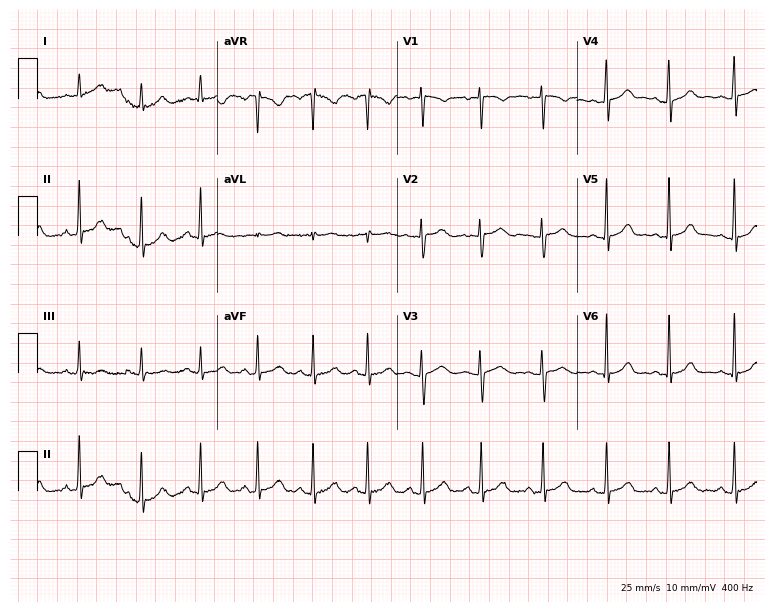
Electrocardiogram (7.3-second recording at 400 Hz), a female patient, 26 years old. Of the six screened findings (first-degree AV block, right bundle branch block (RBBB), left bundle branch block (LBBB), sinus bradycardia, atrial fibrillation (AF), sinus tachycardia), none is recorded.